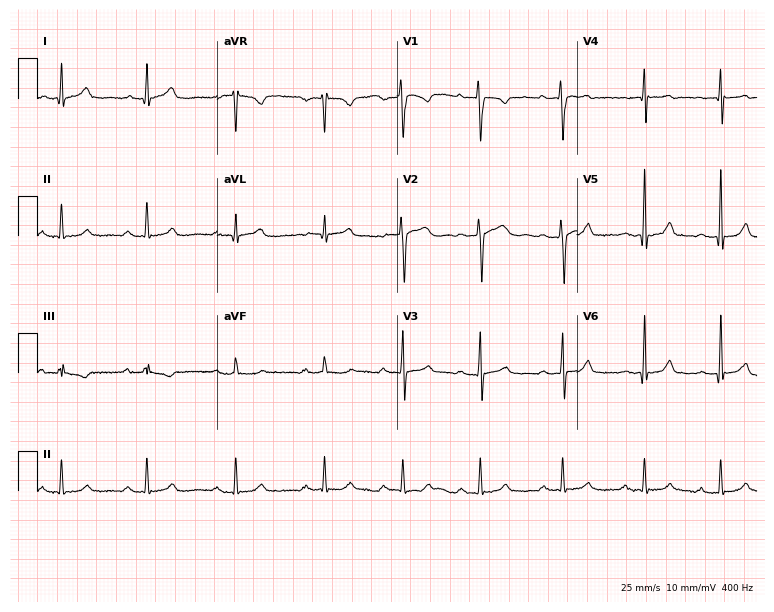
12-lead ECG (7.3-second recording at 400 Hz) from a 29-year-old male. Labelled as a normal ECG.